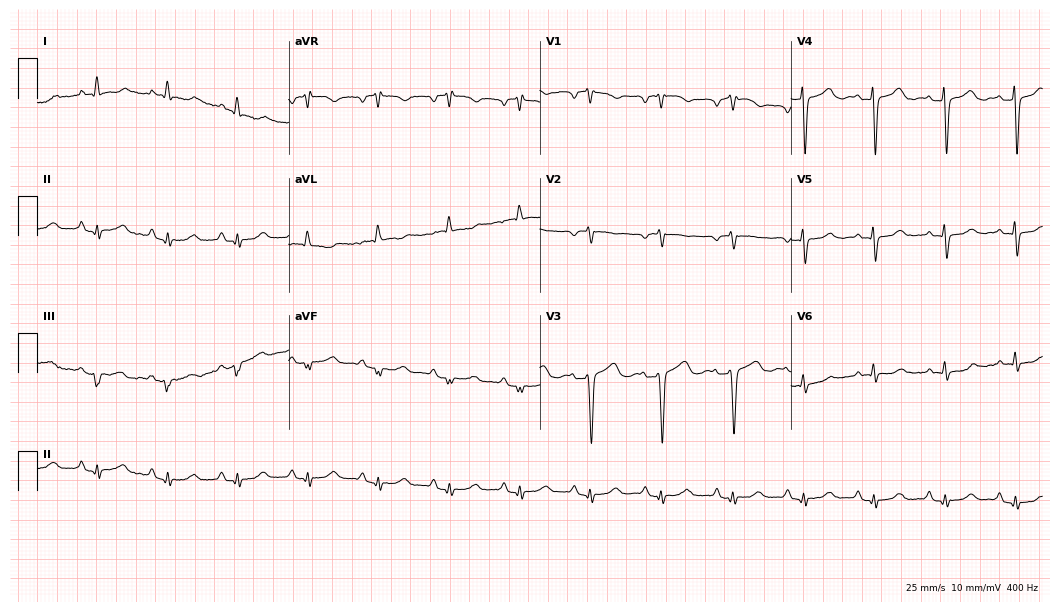
Electrocardiogram, a woman, 61 years old. Of the six screened findings (first-degree AV block, right bundle branch block, left bundle branch block, sinus bradycardia, atrial fibrillation, sinus tachycardia), none is recorded.